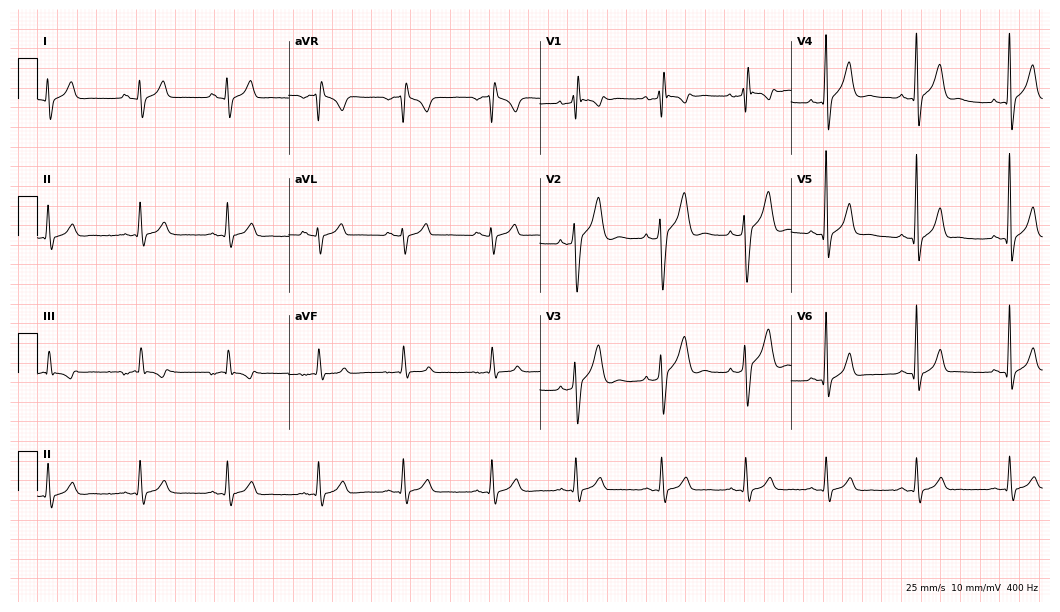
Resting 12-lead electrocardiogram (10.2-second recording at 400 Hz). Patient: a 38-year-old man. None of these six findings is recorded: first-degree AV block, right bundle branch block, left bundle branch block, sinus bradycardia, atrial fibrillation, sinus tachycardia.